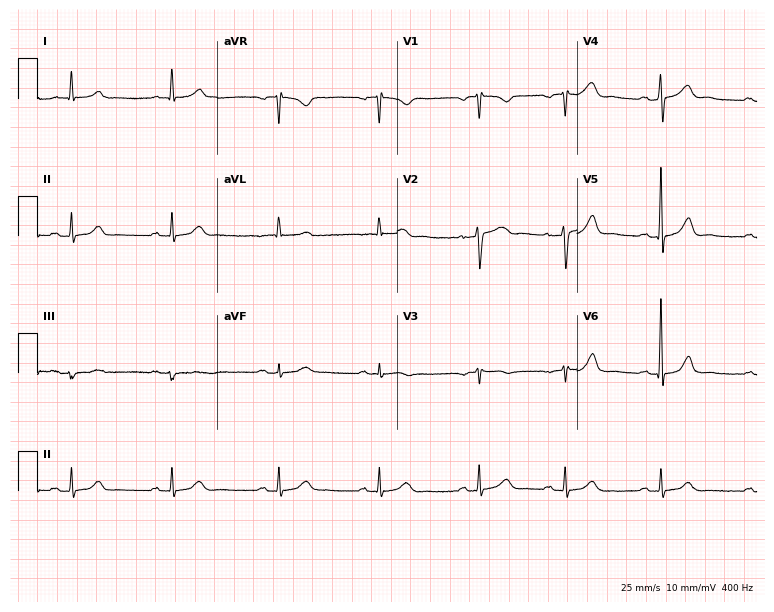
ECG — a 70-year-old male patient. Labelled as a normal ECG.